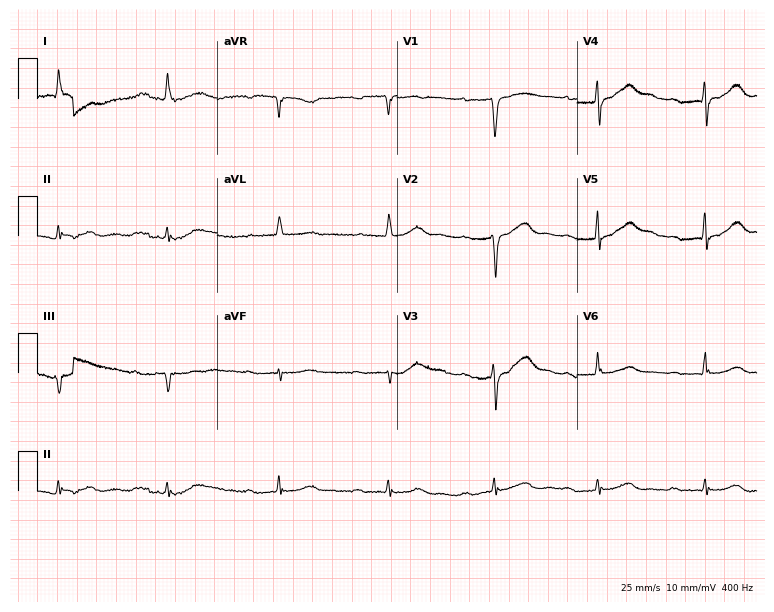
12-lead ECG (7.3-second recording at 400 Hz) from a 71-year-old female. Findings include first-degree AV block.